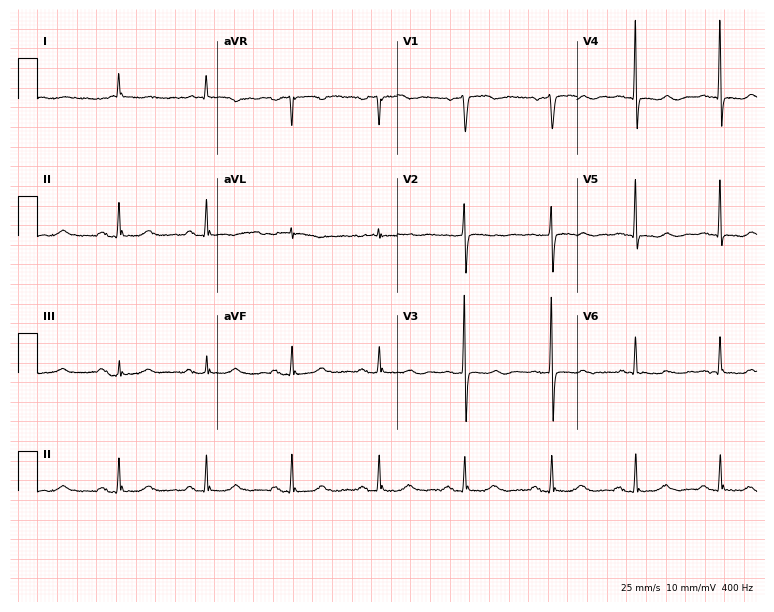
12-lead ECG from a 75-year-old woman (7.3-second recording at 400 Hz). No first-degree AV block, right bundle branch block, left bundle branch block, sinus bradycardia, atrial fibrillation or sinus tachycardia recorded for this tracing.